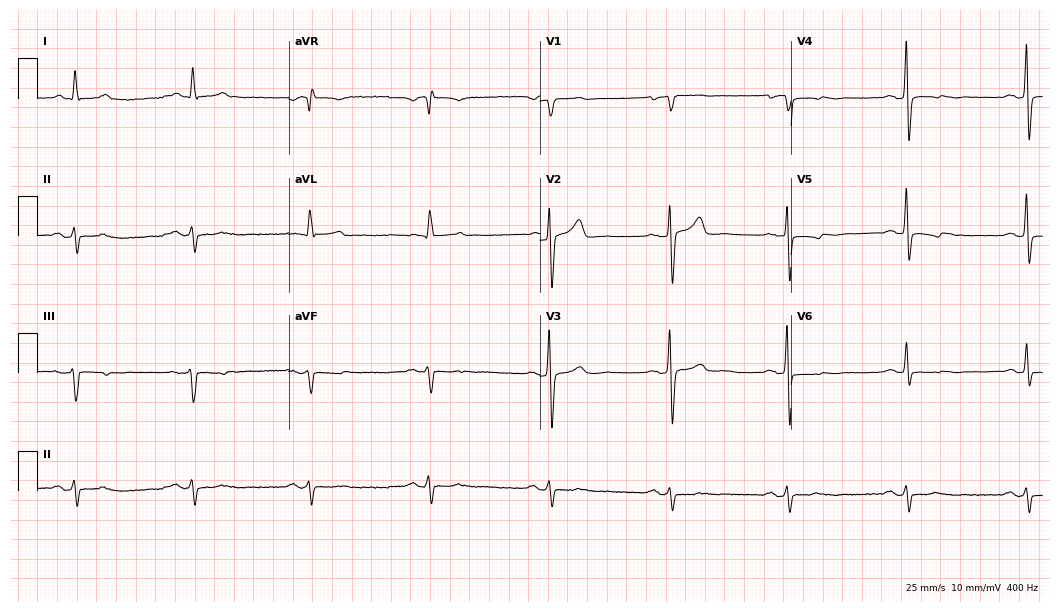
Resting 12-lead electrocardiogram. Patient: a 65-year-old male. The tracing shows sinus bradycardia (a sinus rate of 50 beats per minute or less).